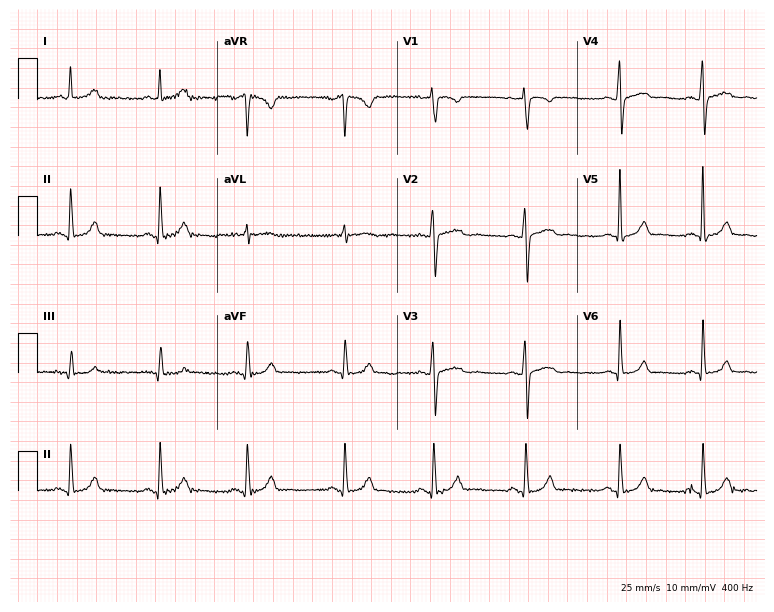
Electrocardiogram, a female patient, 39 years old. Of the six screened findings (first-degree AV block, right bundle branch block (RBBB), left bundle branch block (LBBB), sinus bradycardia, atrial fibrillation (AF), sinus tachycardia), none is recorded.